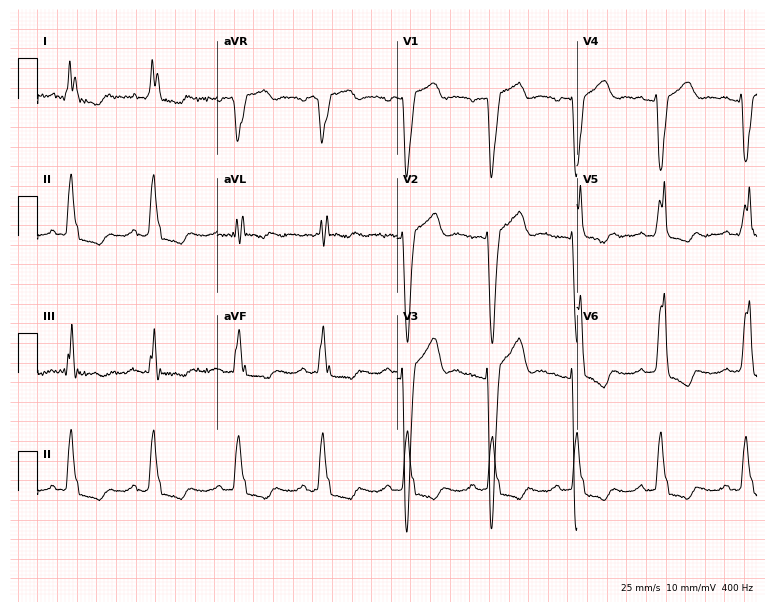
12-lead ECG from a female, 72 years old (7.3-second recording at 400 Hz). Shows left bundle branch block.